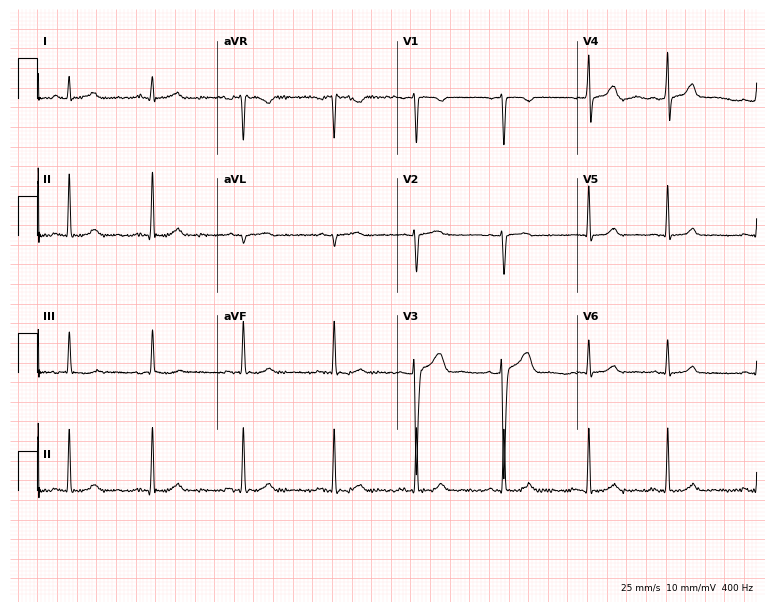
Standard 12-lead ECG recorded from a 26-year-old female patient (7.3-second recording at 400 Hz). Read as a normal ECG.